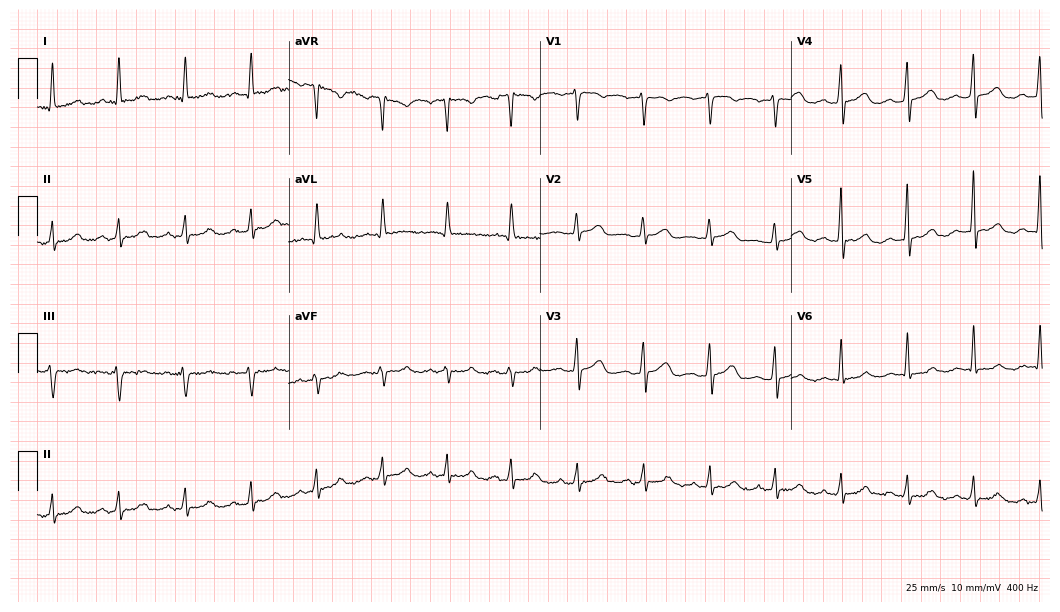
12-lead ECG from a female, 63 years old. No first-degree AV block, right bundle branch block, left bundle branch block, sinus bradycardia, atrial fibrillation or sinus tachycardia recorded for this tracing. Only these six findings were labelled.